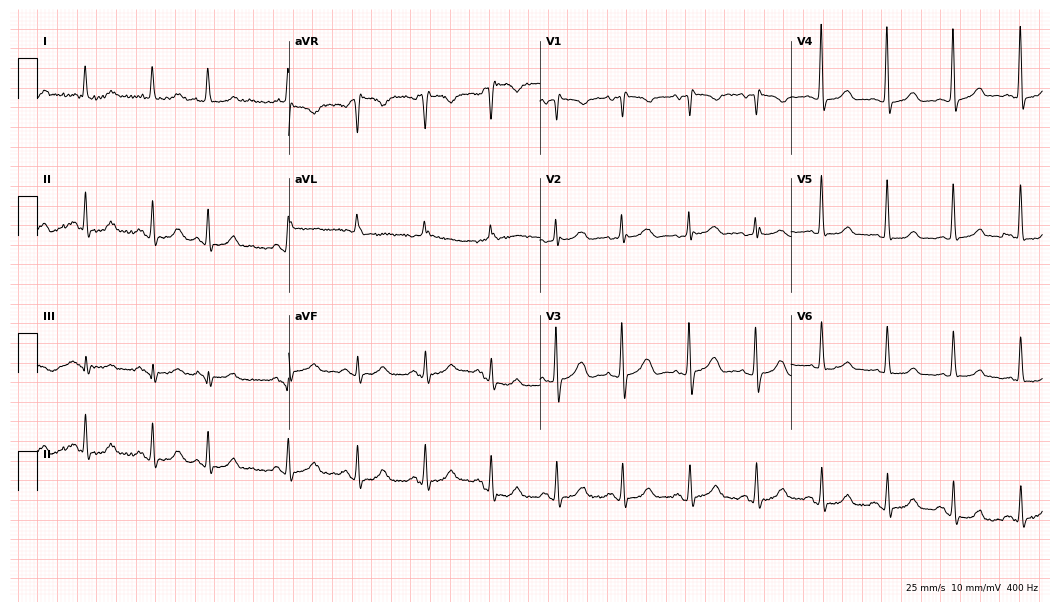
12-lead ECG from a female patient, 72 years old. No first-degree AV block, right bundle branch block, left bundle branch block, sinus bradycardia, atrial fibrillation or sinus tachycardia recorded for this tracing. Only these six findings were labelled.